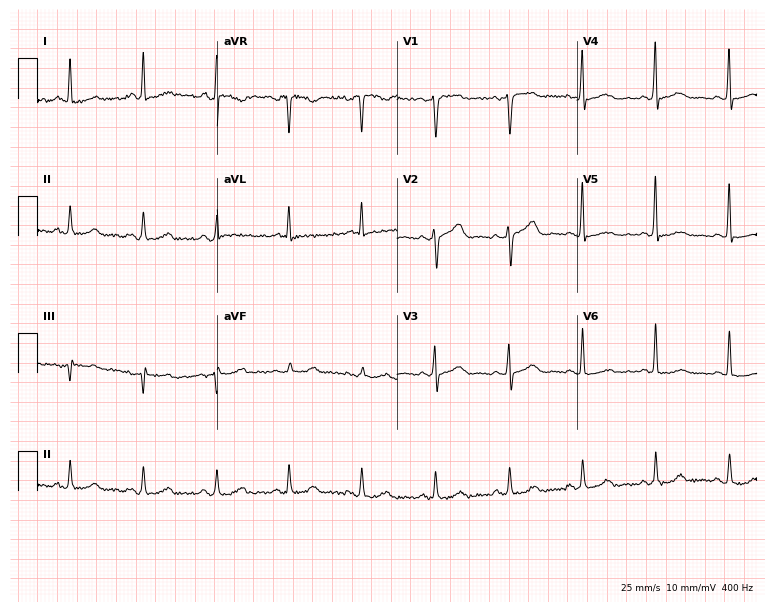
12-lead ECG from a female patient, 67 years old (7.3-second recording at 400 Hz). No first-degree AV block, right bundle branch block, left bundle branch block, sinus bradycardia, atrial fibrillation or sinus tachycardia recorded for this tracing. Only these six findings were labelled.